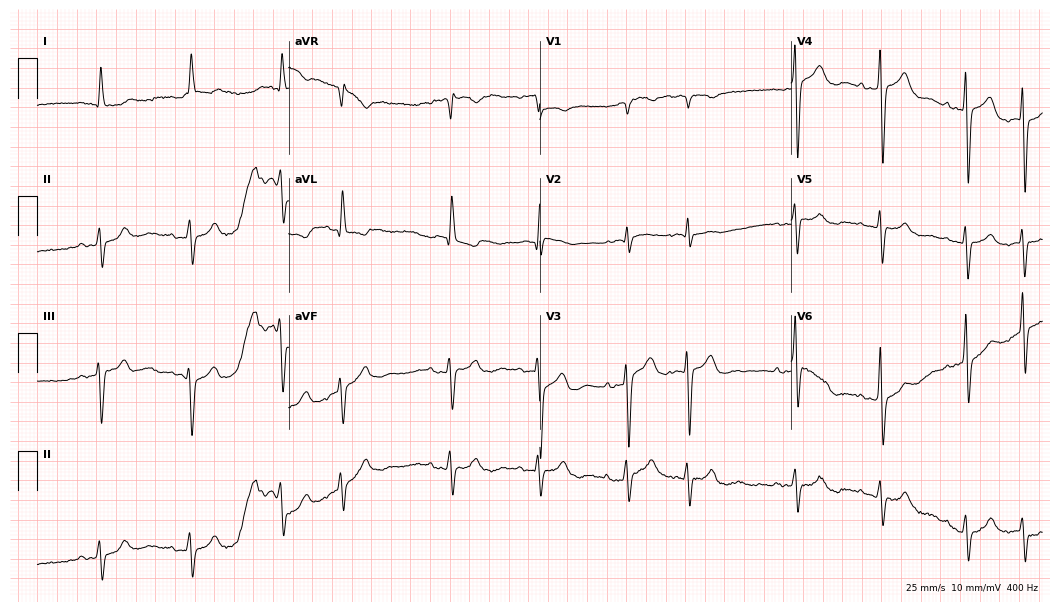
12-lead ECG (10.2-second recording at 400 Hz) from an 82-year-old male patient. Screened for six findings — first-degree AV block, right bundle branch block, left bundle branch block, sinus bradycardia, atrial fibrillation, sinus tachycardia — none is recorded.